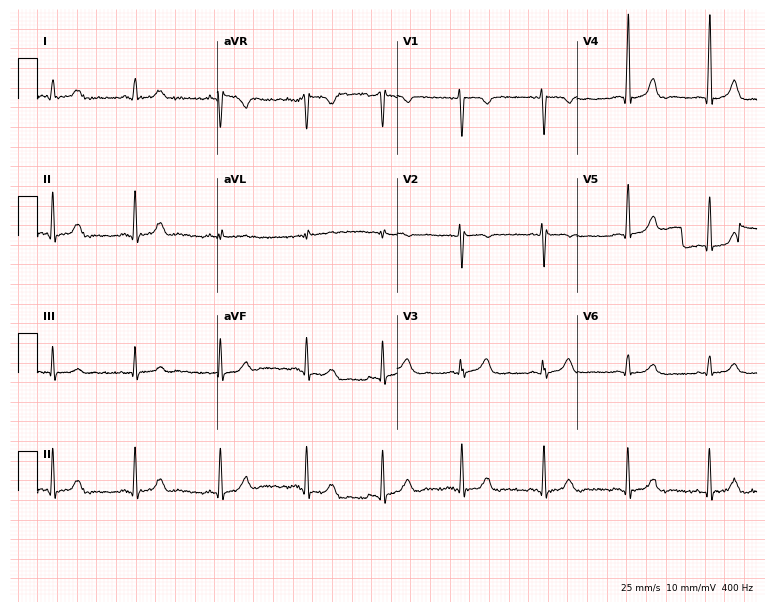
Standard 12-lead ECG recorded from a 20-year-old female patient. Read as a normal ECG.